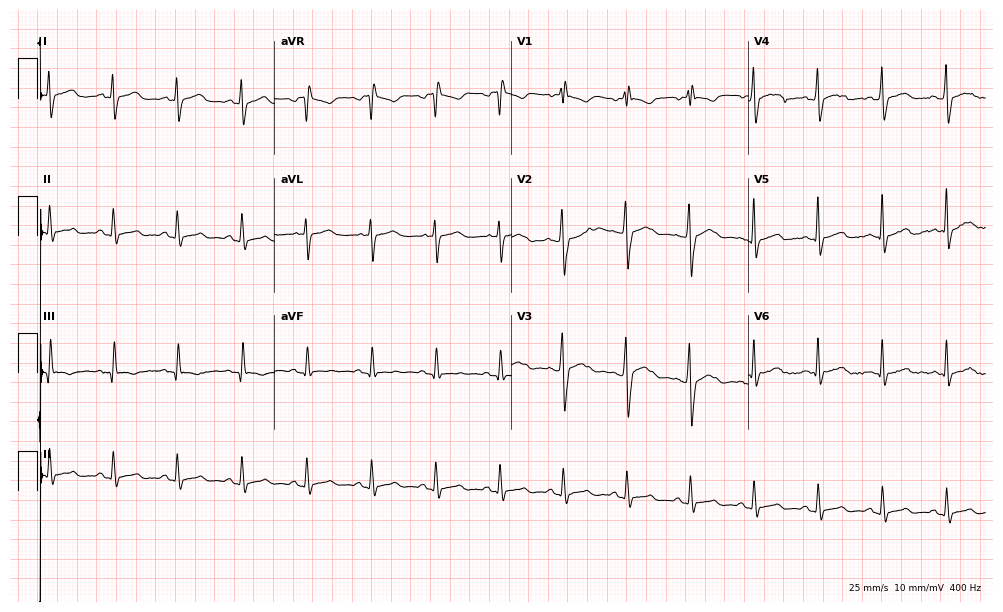
Electrocardiogram, a male patient, 29 years old. Of the six screened findings (first-degree AV block, right bundle branch block, left bundle branch block, sinus bradycardia, atrial fibrillation, sinus tachycardia), none is recorded. Only these six findings were labelled.